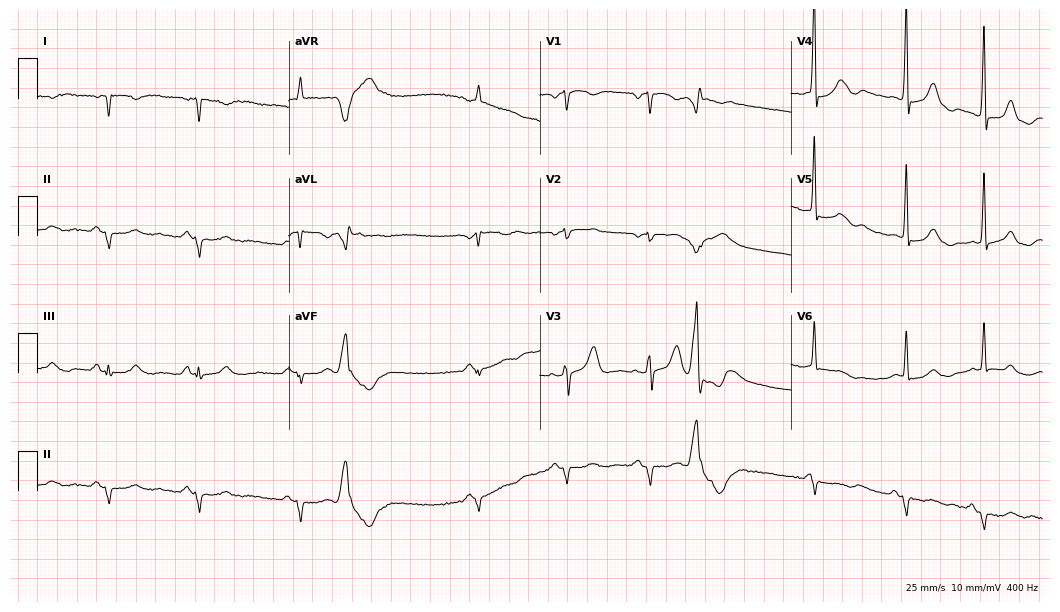
Electrocardiogram (10.2-second recording at 400 Hz), a male patient, 56 years old. Overall reading on record: normal ECG.